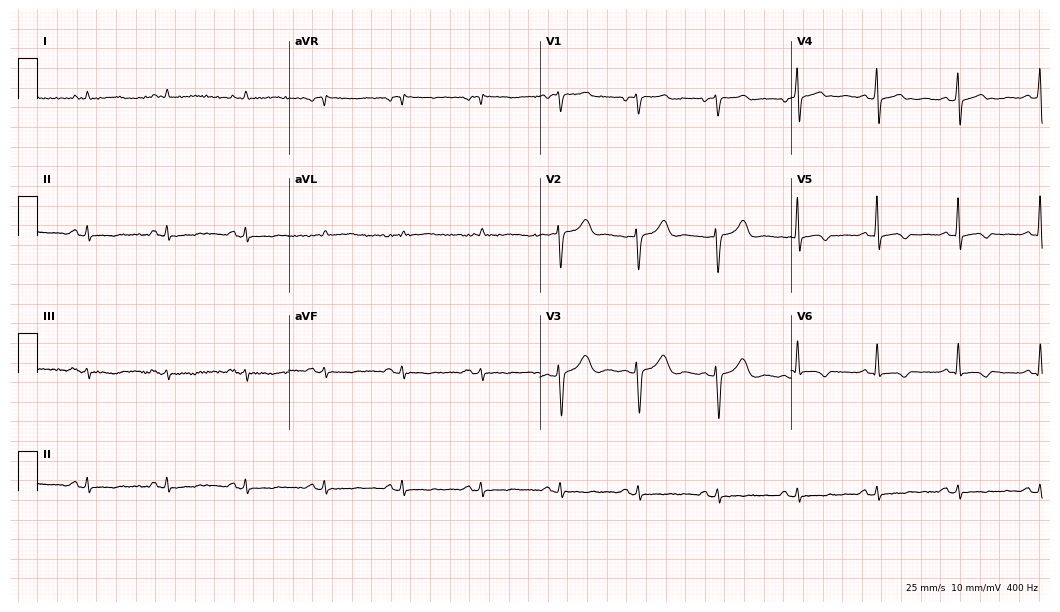
Resting 12-lead electrocardiogram (10.2-second recording at 400 Hz). Patient: a 52-year-old female. None of these six findings is recorded: first-degree AV block, right bundle branch block (RBBB), left bundle branch block (LBBB), sinus bradycardia, atrial fibrillation (AF), sinus tachycardia.